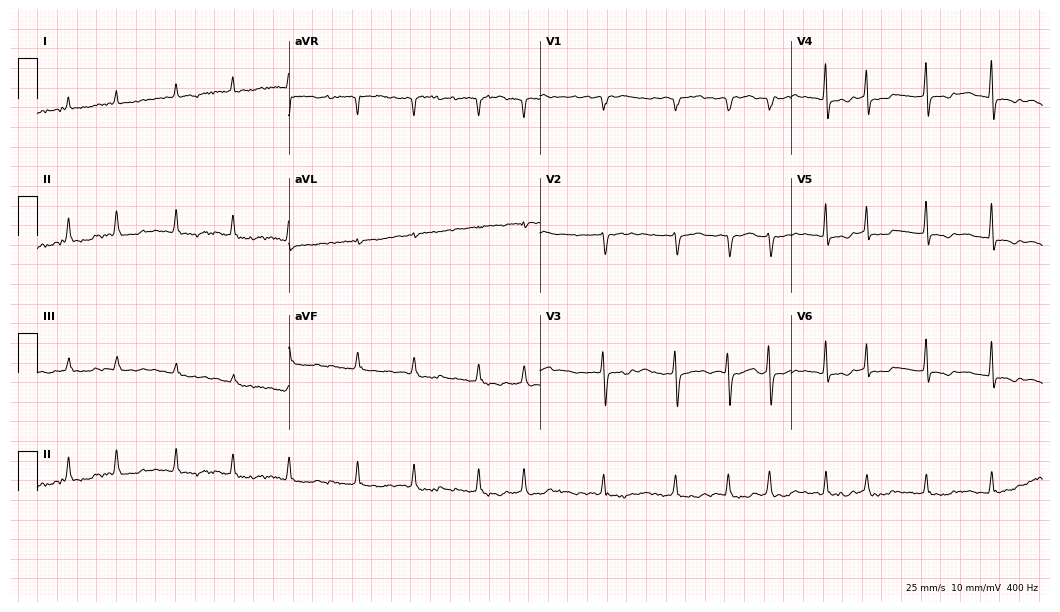
Standard 12-lead ECG recorded from an 85-year-old male patient. None of these six findings is recorded: first-degree AV block, right bundle branch block, left bundle branch block, sinus bradycardia, atrial fibrillation, sinus tachycardia.